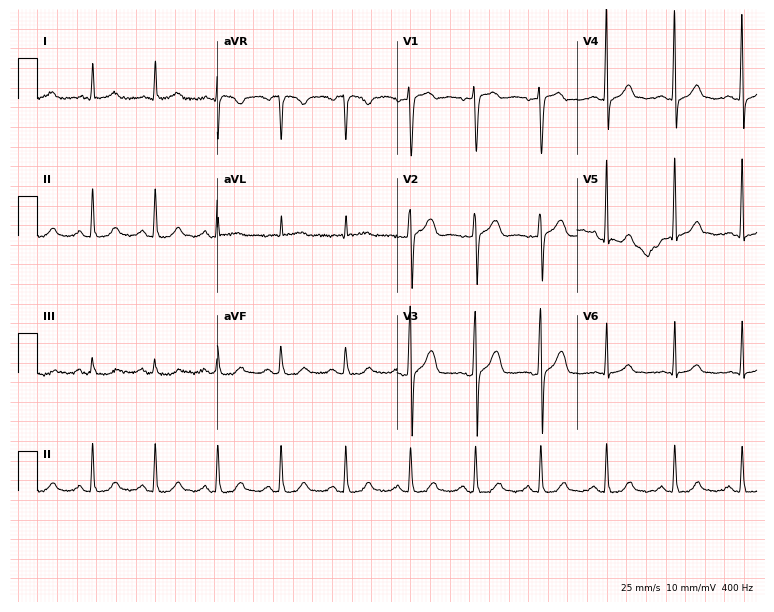
Standard 12-lead ECG recorded from a 50-year-old man. None of these six findings is recorded: first-degree AV block, right bundle branch block (RBBB), left bundle branch block (LBBB), sinus bradycardia, atrial fibrillation (AF), sinus tachycardia. Other findings, if any, are not listed.